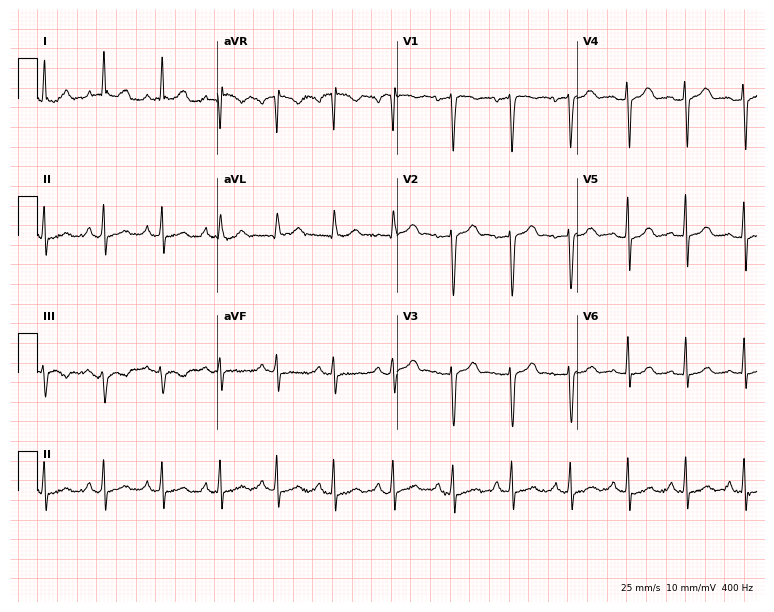
12-lead ECG from a female, 56 years old. Screened for six findings — first-degree AV block, right bundle branch block, left bundle branch block, sinus bradycardia, atrial fibrillation, sinus tachycardia — none is recorded.